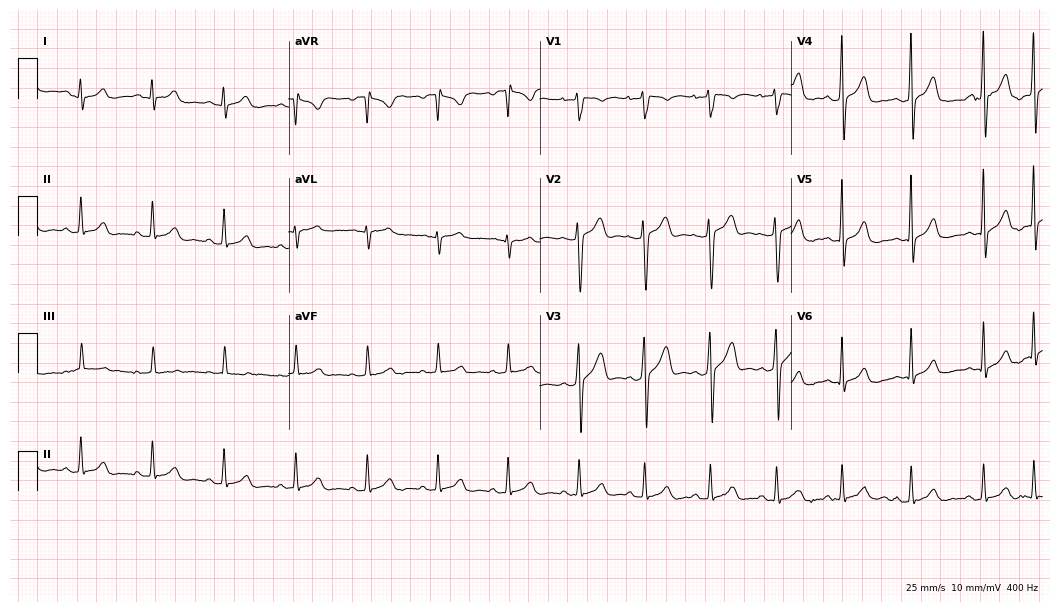
12-lead ECG (10.2-second recording at 400 Hz) from a male, 18 years old. Labelled as a normal ECG.